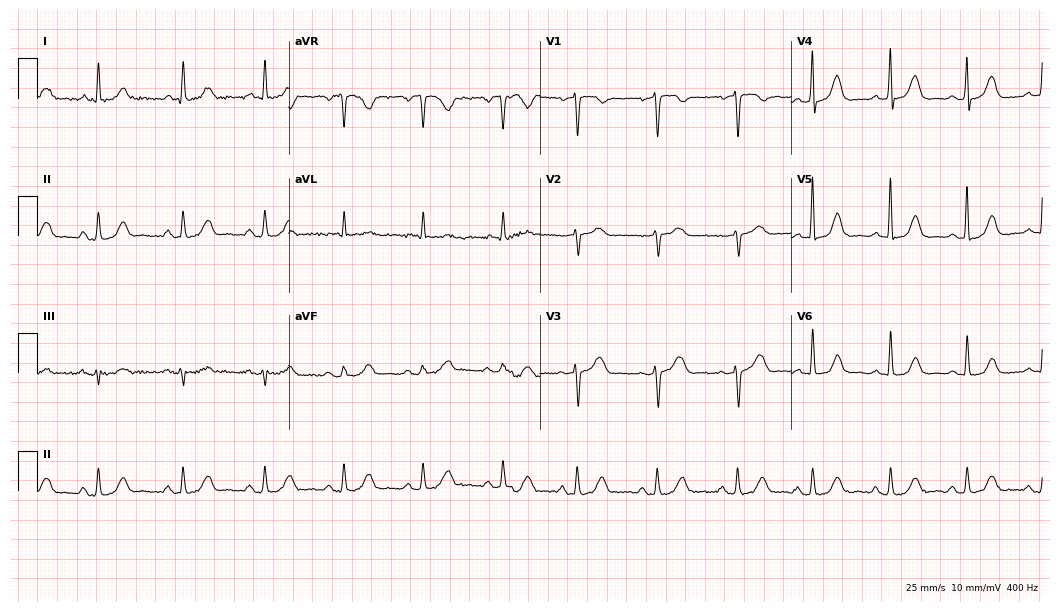
Standard 12-lead ECG recorded from a woman, 66 years old (10.2-second recording at 400 Hz). Read as a normal ECG.